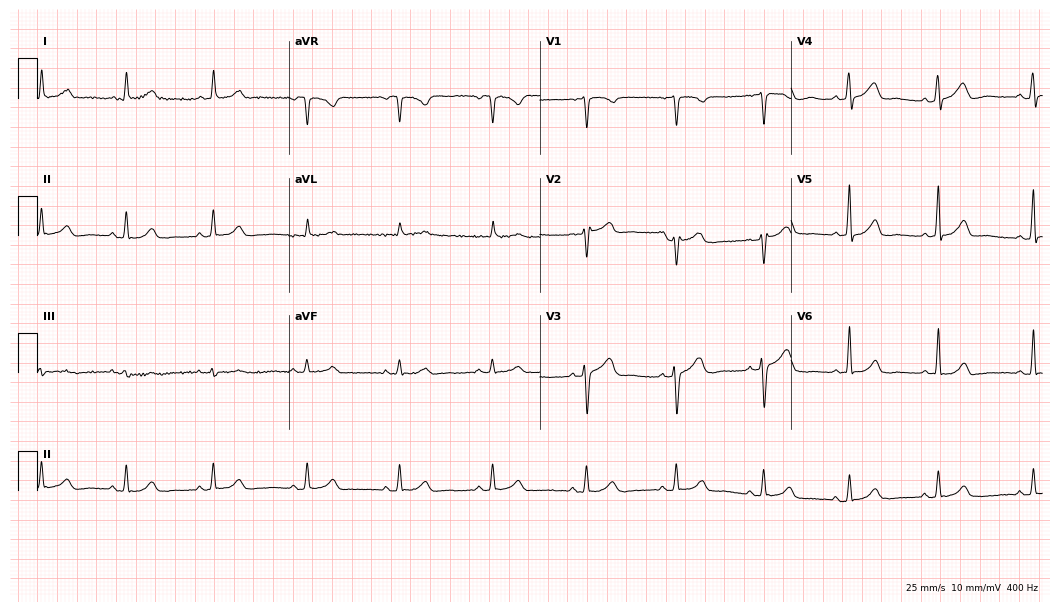
Resting 12-lead electrocardiogram. Patient: a 52-year-old female. None of these six findings is recorded: first-degree AV block, right bundle branch block, left bundle branch block, sinus bradycardia, atrial fibrillation, sinus tachycardia. Other findings, if any, are not listed.